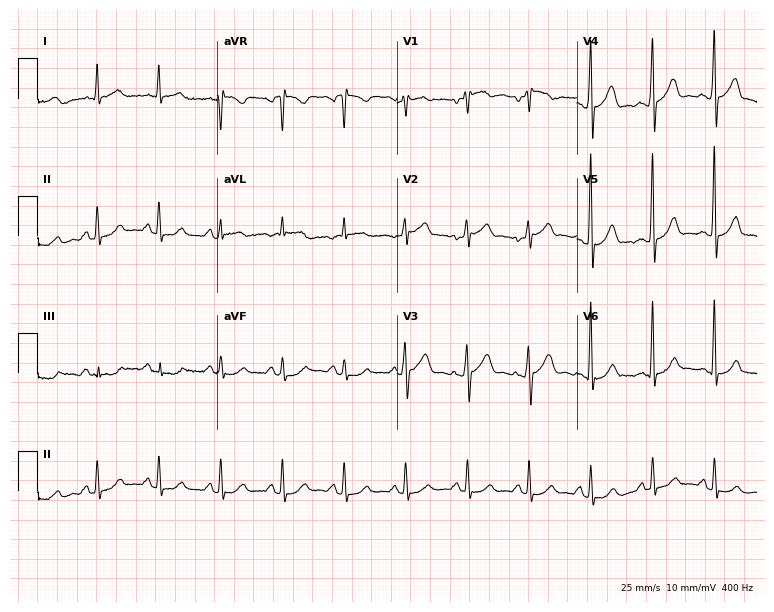
Standard 12-lead ECG recorded from a 59-year-old man. Read as a normal ECG.